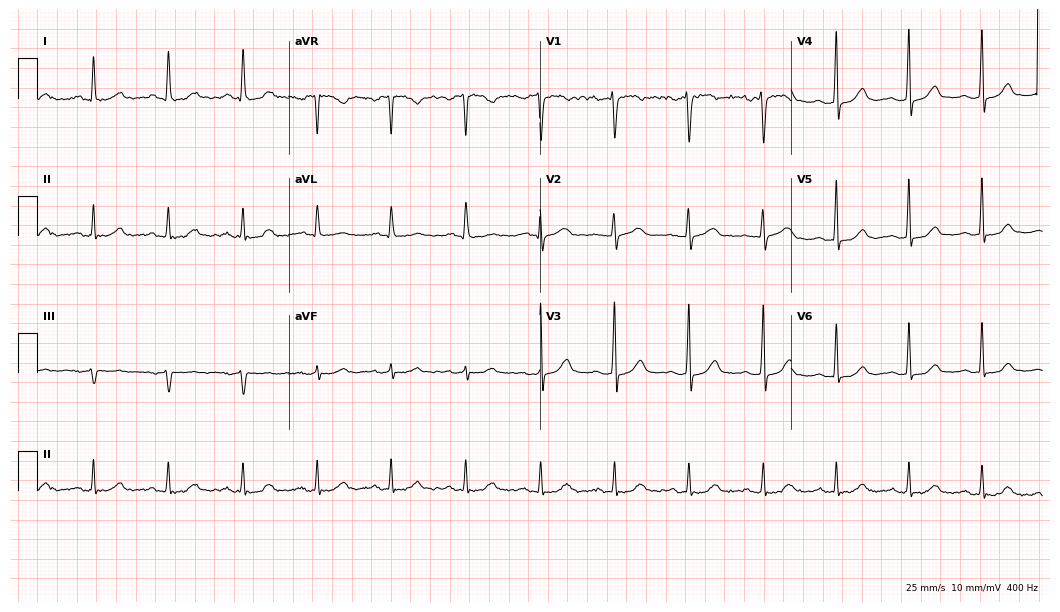
Resting 12-lead electrocardiogram. Patient: a male, 48 years old. None of these six findings is recorded: first-degree AV block, right bundle branch block (RBBB), left bundle branch block (LBBB), sinus bradycardia, atrial fibrillation (AF), sinus tachycardia. Other findings, if any, are not listed.